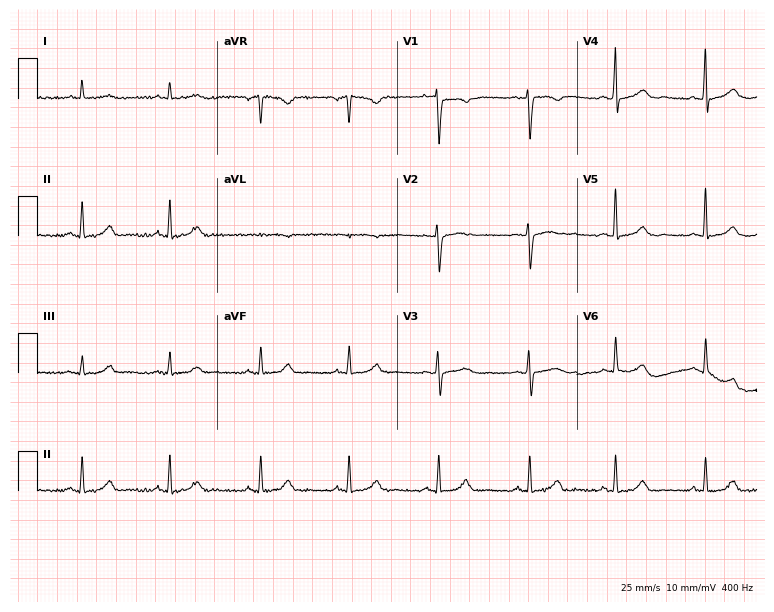
12-lead ECG from a female patient, 46 years old. No first-degree AV block, right bundle branch block, left bundle branch block, sinus bradycardia, atrial fibrillation or sinus tachycardia recorded for this tracing.